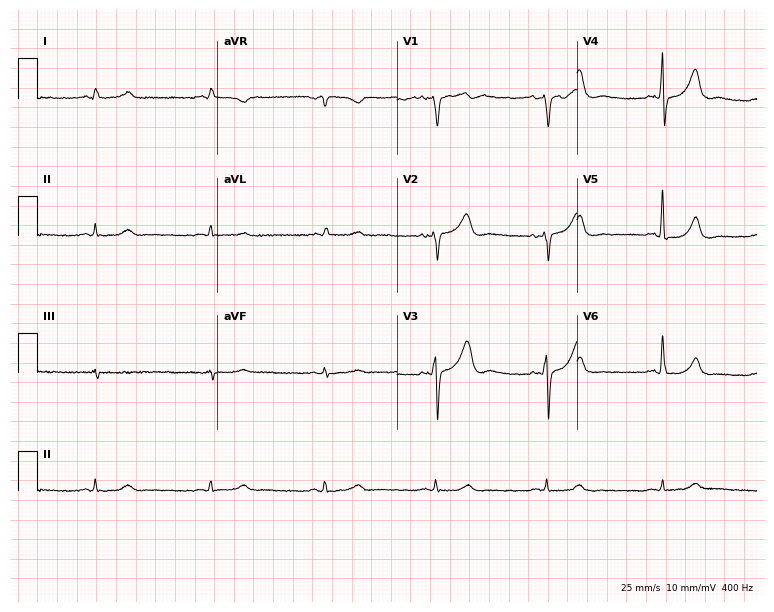
Resting 12-lead electrocardiogram (7.3-second recording at 400 Hz). Patient: a man, 54 years old. Read as a normal ECG.